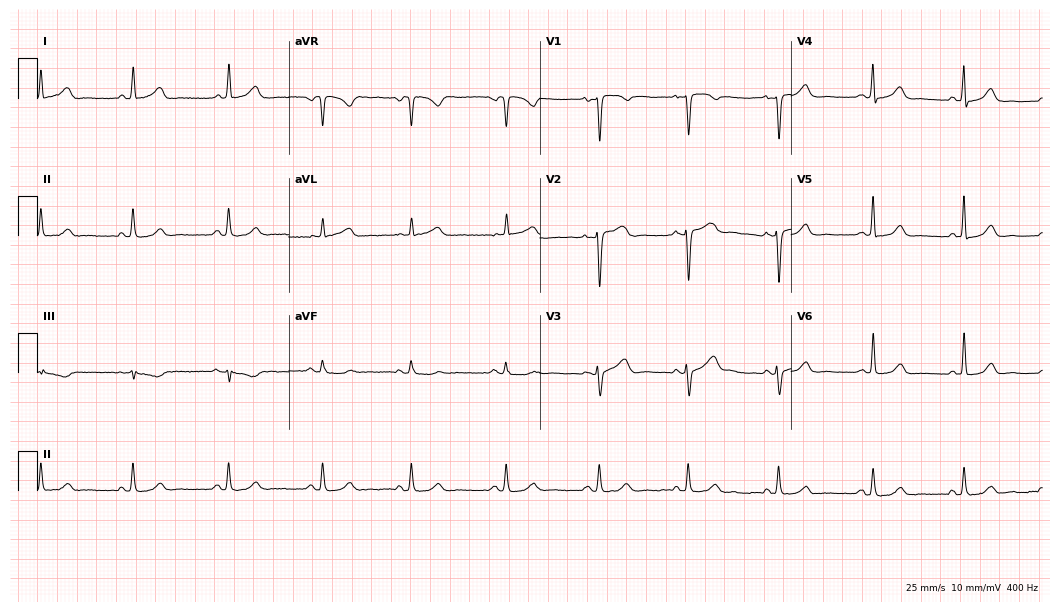
Resting 12-lead electrocardiogram. Patient: a 47-year-old female. Read as a normal ECG.